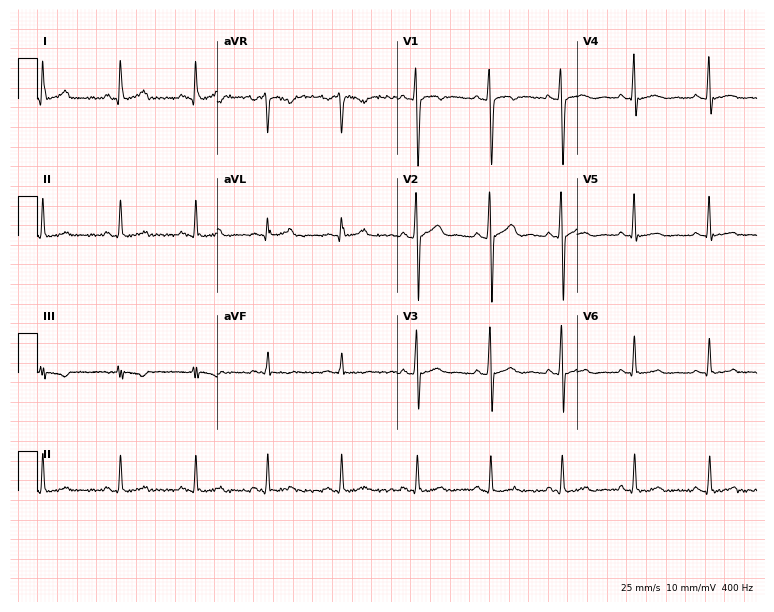
Standard 12-lead ECG recorded from a male patient, 29 years old. None of these six findings is recorded: first-degree AV block, right bundle branch block (RBBB), left bundle branch block (LBBB), sinus bradycardia, atrial fibrillation (AF), sinus tachycardia.